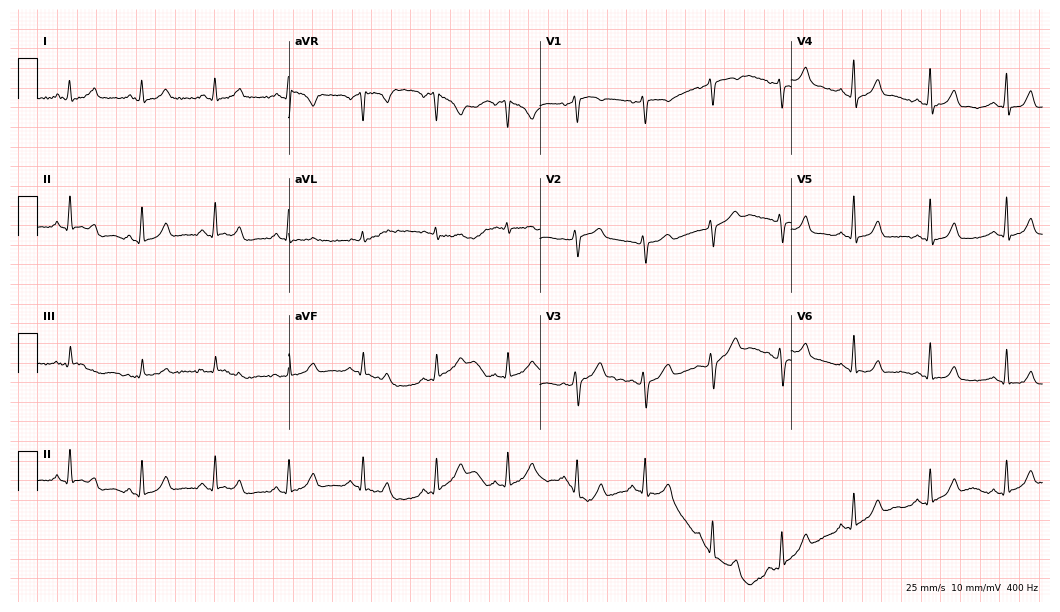
Resting 12-lead electrocardiogram (10.2-second recording at 400 Hz). Patient: a 47-year-old female. Read as a normal ECG.